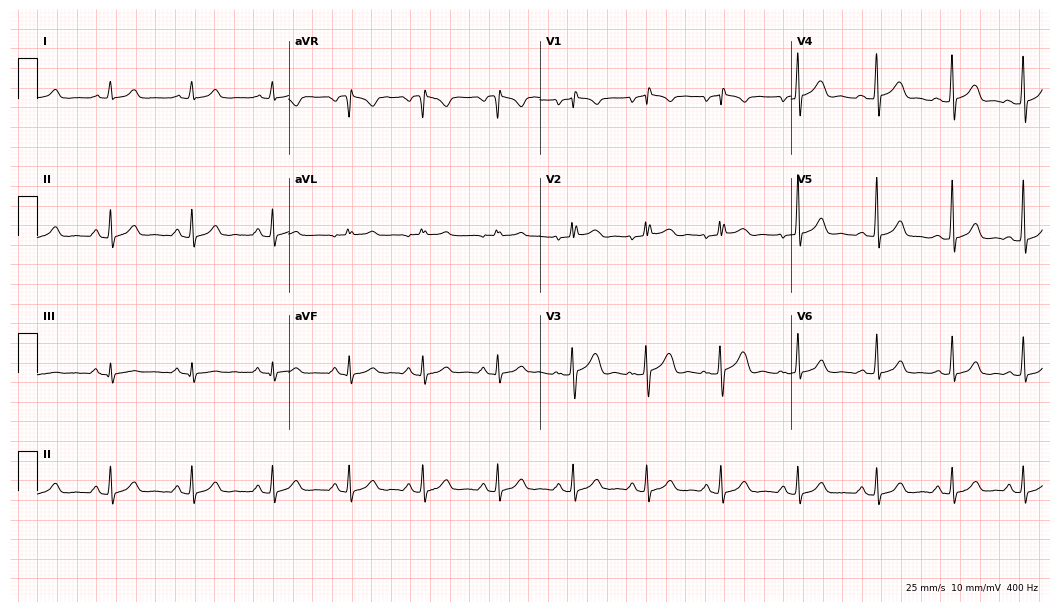
Electrocardiogram, a female patient, 24 years old. Of the six screened findings (first-degree AV block, right bundle branch block, left bundle branch block, sinus bradycardia, atrial fibrillation, sinus tachycardia), none is recorded. Only these six findings were labelled.